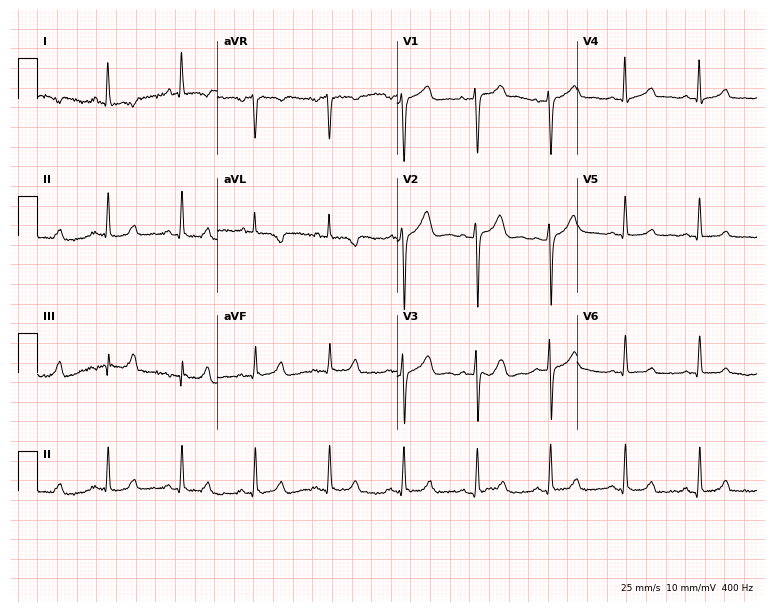
ECG (7.3-second recording at 400 Hz) — a 46-year-old female. Screened for six findings — first-degree AV block, right bundle branch block, left bundle branch block, sinus bradycardia, atrial fibrillation, sinus tachycardia — none is recorded.